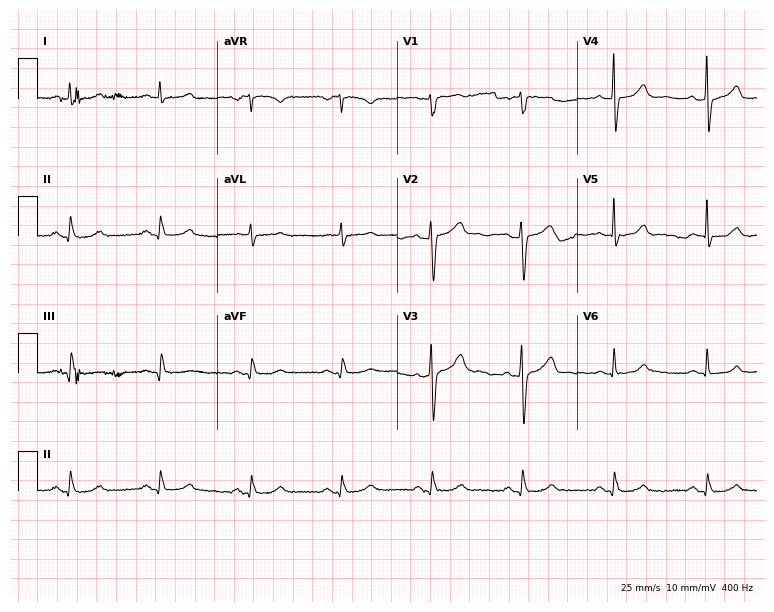
Electrocardiogram, a male, 69 years old. Of the six screened findings (first-degree AV block, right bundle branch block (RBBB), left bundle branch block (LBBB), sinus bradycardia, atrial fibrillation (AF), sinus tachycardia), none is recorded.